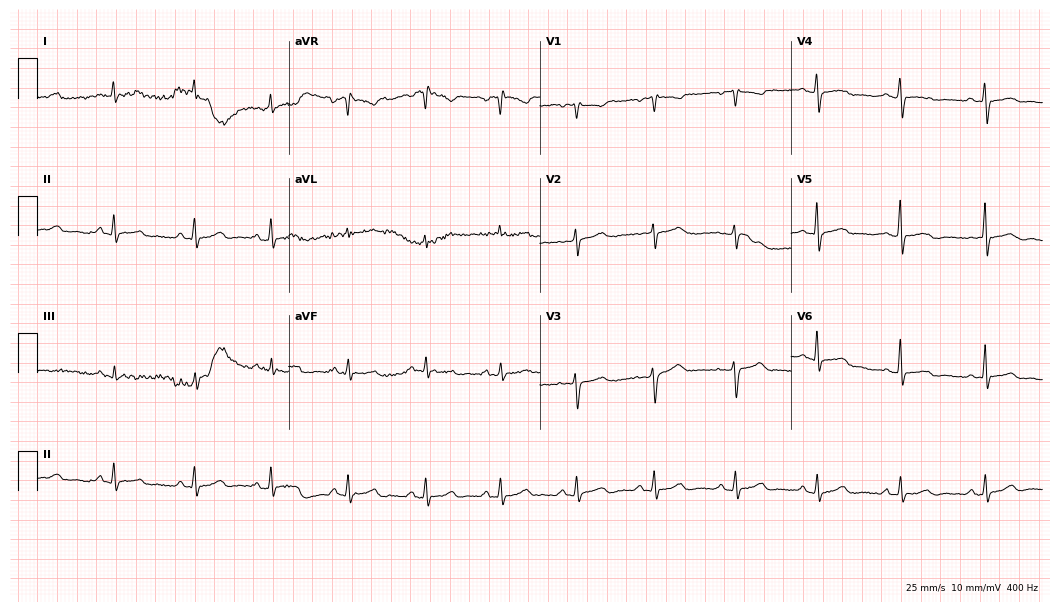
Electrocardiogram (10.2-second recording at 400 Hz), a female patient, 46 years old. Overall reading on record: normal ECG.